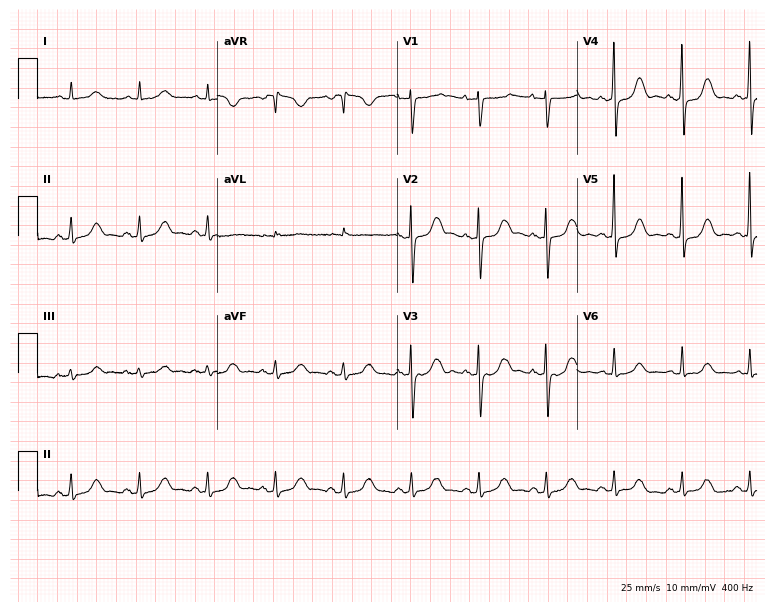
Electrocardiogram (7.3-second recording at 400 Hz), a woman, 49 years old. Overall reading on record: normal ECG.